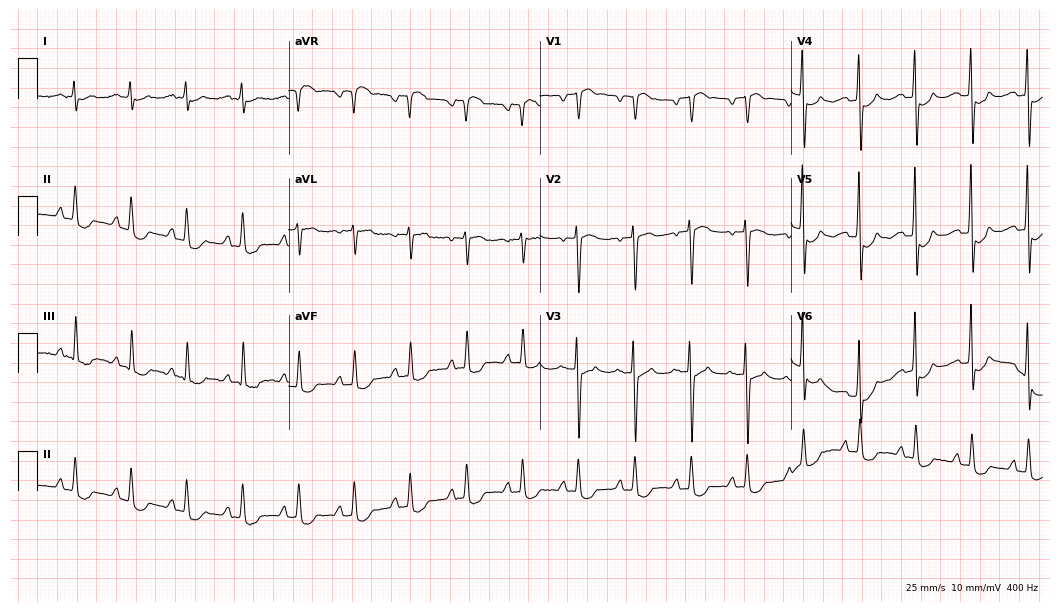
12-lead ECG from a 71-year-old female. Findings include sinus tachycardia (a sinus rate of 100 beats per minute or more).